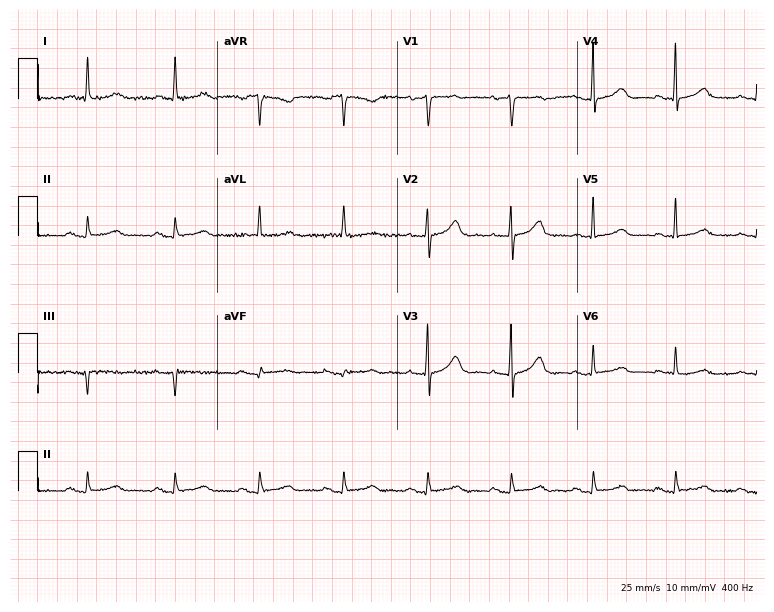
12-lead ECG (7.3-second recording at 400 Hz) from a 73-year-old female patient. Screened for six findings — first-degree AV block, right bundle branch block (RBBB), left bundle branch block (LBBB), sinus bradycardia, atrial fibrillation (AF), sinus tachycardia — none is recorded.